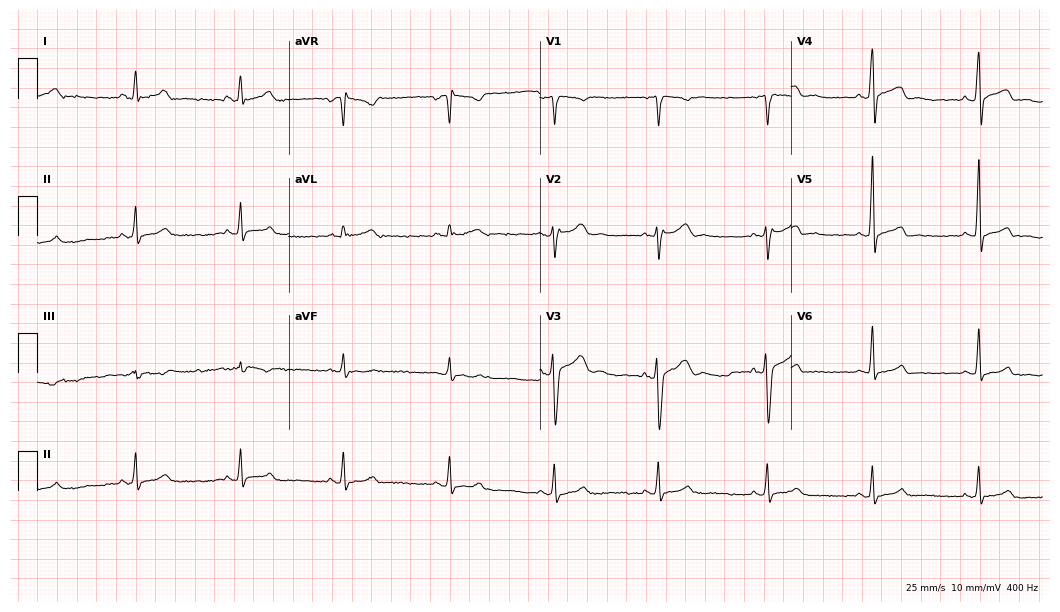
ECG — a 45-year-old male patient. Labelled as a normal ECG.